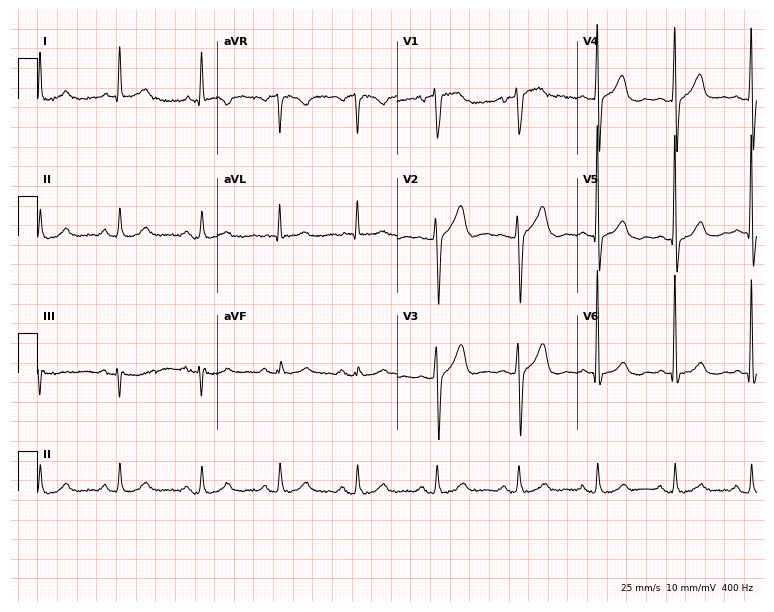
12-lead ECG from a 51-year-old male (7.3-second recording at 400 Hz). Recorded interpretation: within normal limits.